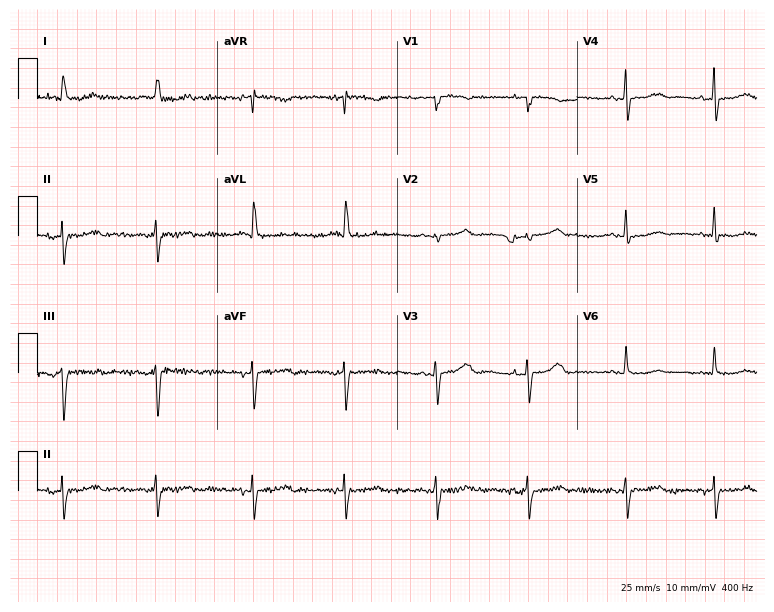
12-lead ECG from a 79-year-old woman. No first-degree AV block, right bundle branch block, left bundle branch block, sinus bradycardia, atrial fibrillation or sinus tachycardia recorded for this tracing. Findings outside these six are not listed.